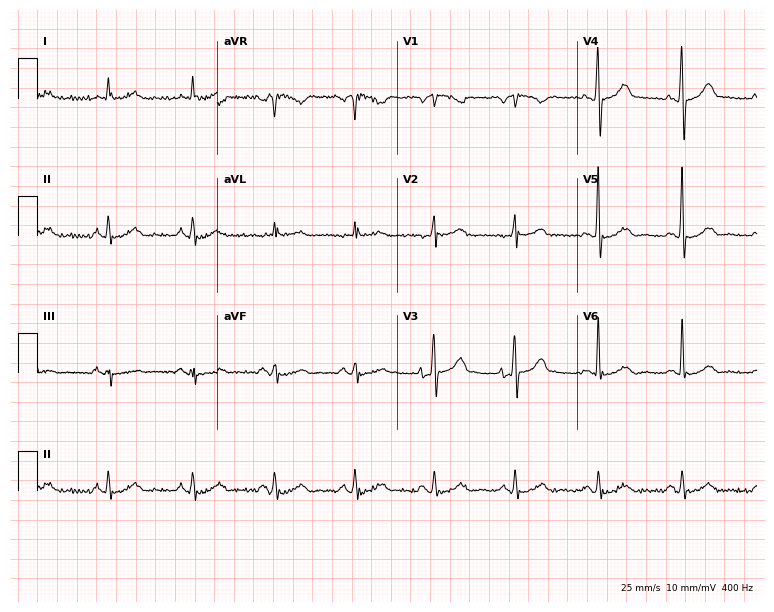
12-lead ECG from a woman, 51 years old (7.3-second recording at 400 Hz). Recorded interpretation: within normal limits.